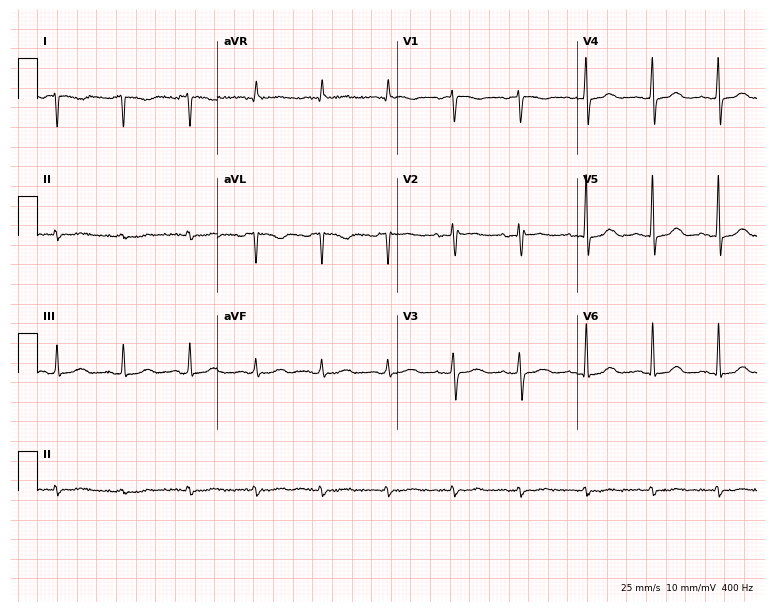
Electrocardiogram (7.3-second recording at 400 Hz), a female, 52 years old. Of the six screened findings (first-degree AV block, right bundle branch block, left bundle branch block, sinus bradycardia, atrial fibrillation, sinus tachycardia), none is recorded.